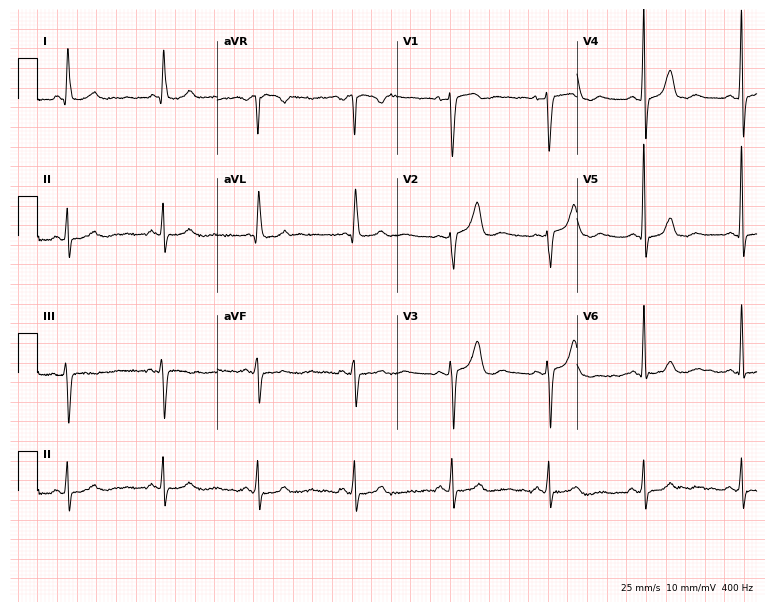
Standard 12-lead ECG recorded from a 64-year-old female patient. None of these six findings is recorded: first-degree AV block, right bundle branch block (RBBB), left bundle branch block (LBBB), sinus bradycardia, atrial fibrillation (AF), sinus tachycardia. Other findings, if any, are not listed.